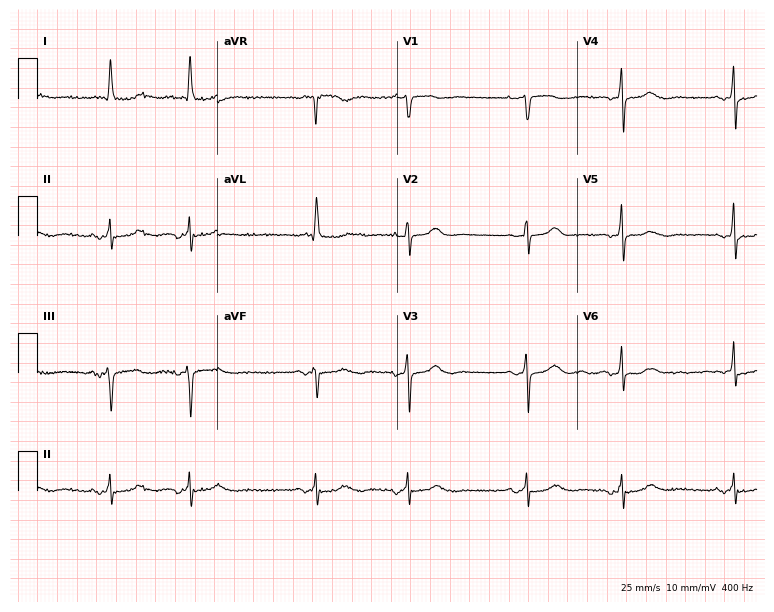
Resting 12-lead electrocardiogram (7.3-second recording at 400 Hz). Patient: a 78-year-old female. None of these six findings is recorded: first-degree AV block, right bundle branch block, left bundle branch block, sinus bradycardia, atrial fibrillation, sinus tachycardia. Other findings, if any, are not listed.